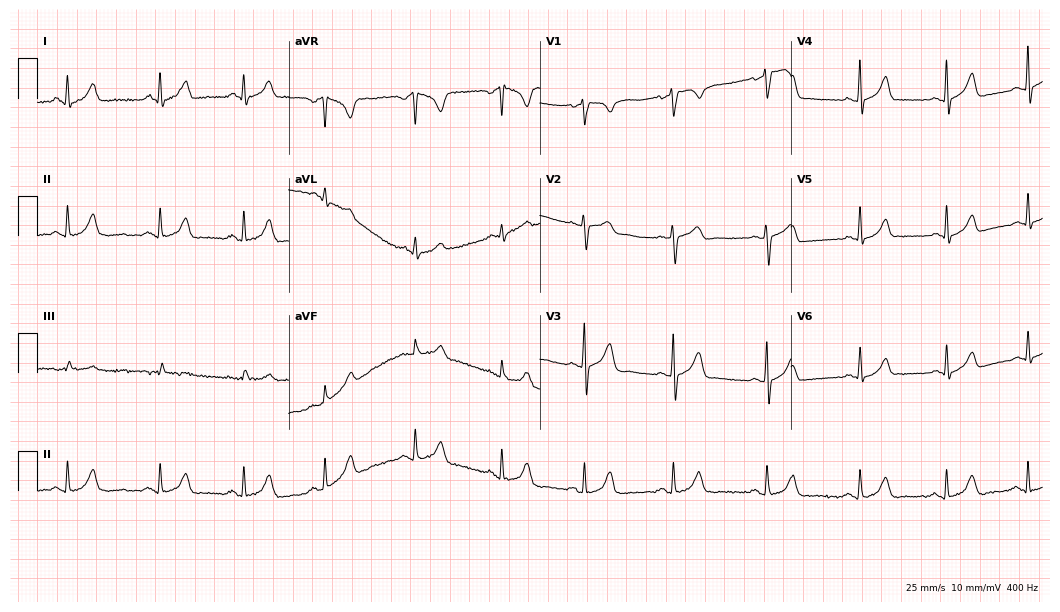
Standard 12-lead ECG recorded from a female, 22 years old. None of these six findings is recorded: first-degree AV block, right bundle branch block, left bundle branch block, sinus bradycardia, atrial fibrillation, sinus tachycardia. Findings outside these six are not listed.